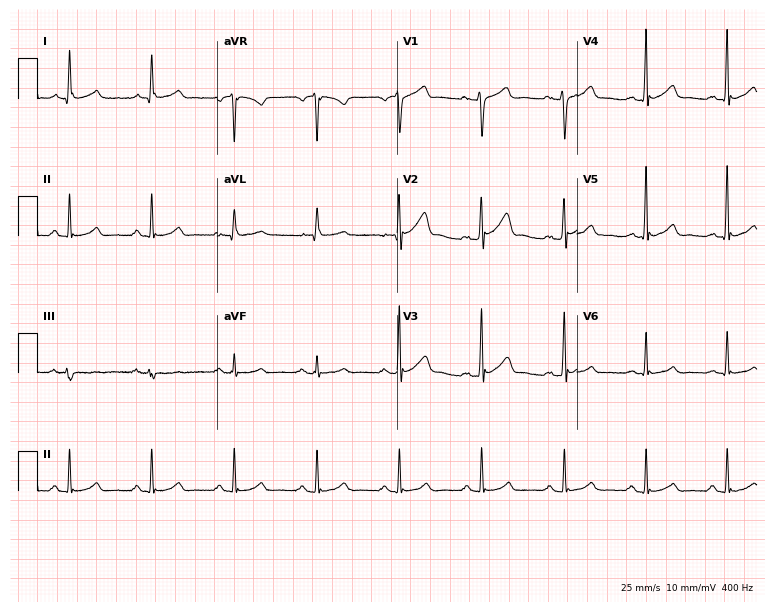
ECG (7.3-second recording at 400 Hz) — a male patient, 40 years old. Screened for six findings — first-degree AV block, right bundle branch block, left bundle branch block, sinus bradycardia, atrial fibrillation, sinus tachycardia — none is recorded.